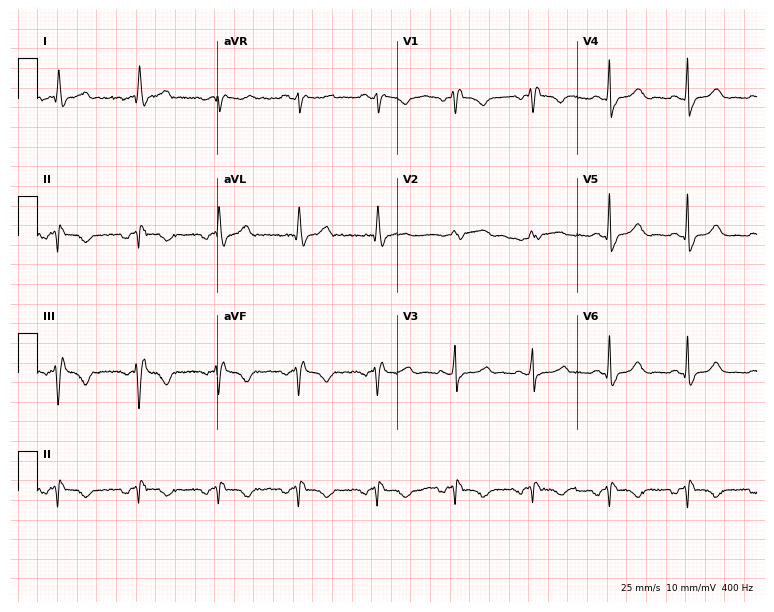
12-lead ECG (7.3-second recording at 400 Hz) from a 64-year-old female. Screened for six findings — first-degree AV block, right bundle branch block, left bundle branch block, sinus bradycardia, atrial fibrillation, sinus tachycardia — none is recorded.